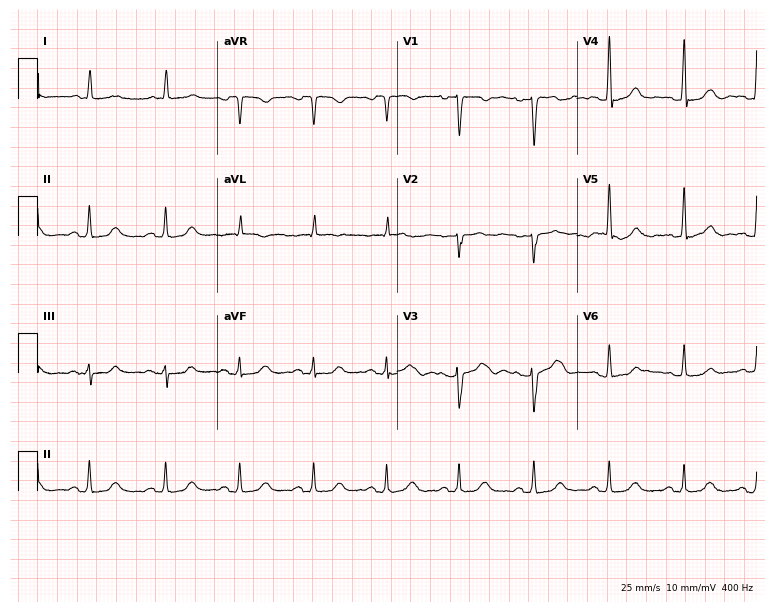
Electrocardiogram (7.3-second recording at 400 Hz), a female patient, 83 years old. Overall reading on record: normal ECG.